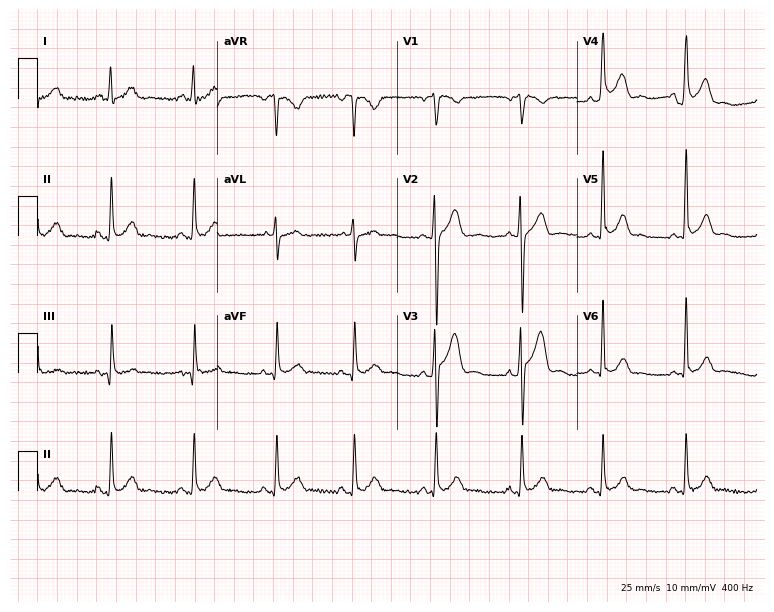
Electrocardiogram, a male, 21 years old. Overall reading on record: normal ECG.